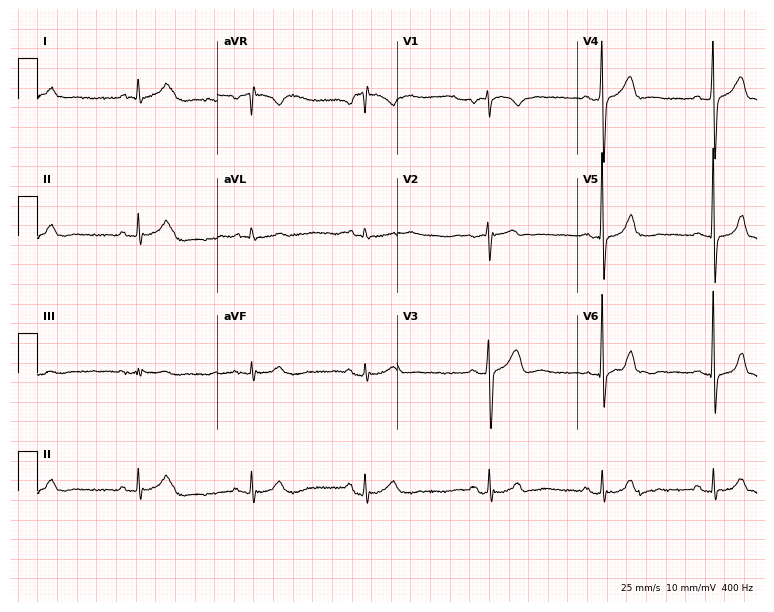
12-lead ECG from a man, 59 years old. Screened for six findings — first-degree AV block, right bundle branch block, left bundle branch block, sinus bradycardia, atrial fibrillation, sinus tachycardia — none is recorded.